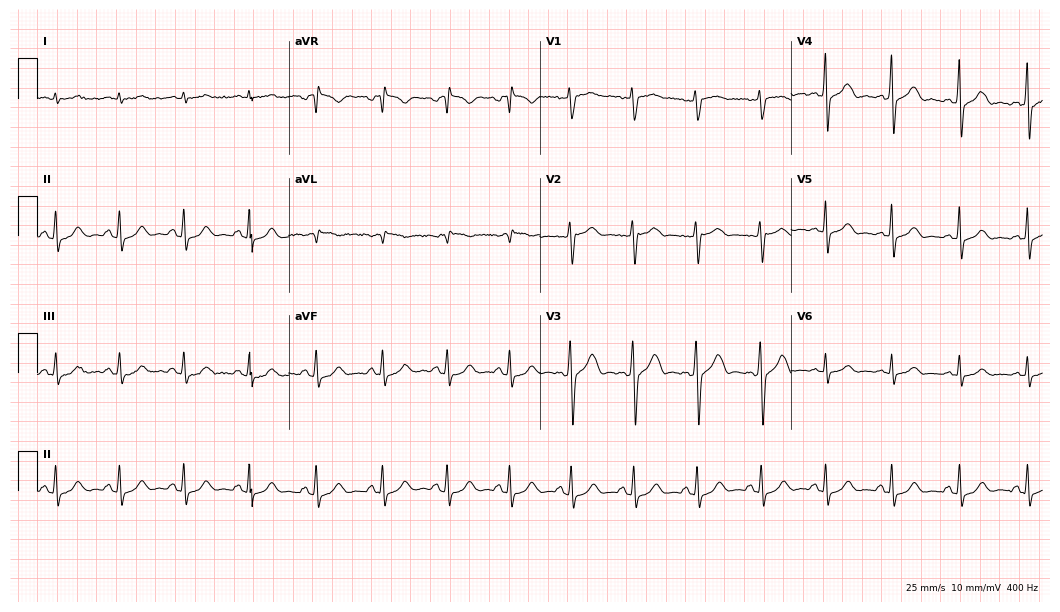
Standard 12-lead ECG recorded from a 42-year-old male patient (10.2-second recording at 400 Hz). Read as a normal ECG.